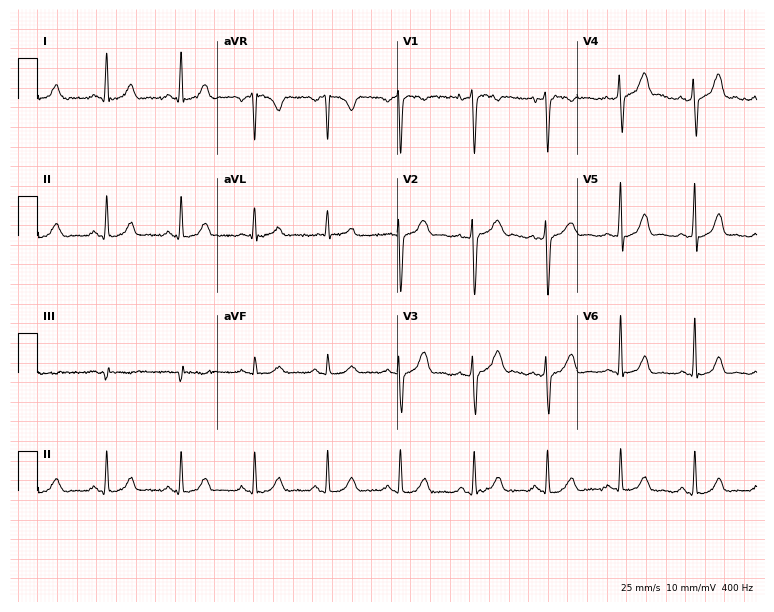
ECG — a 31-year-old woman. Labelled as a normal ECG.